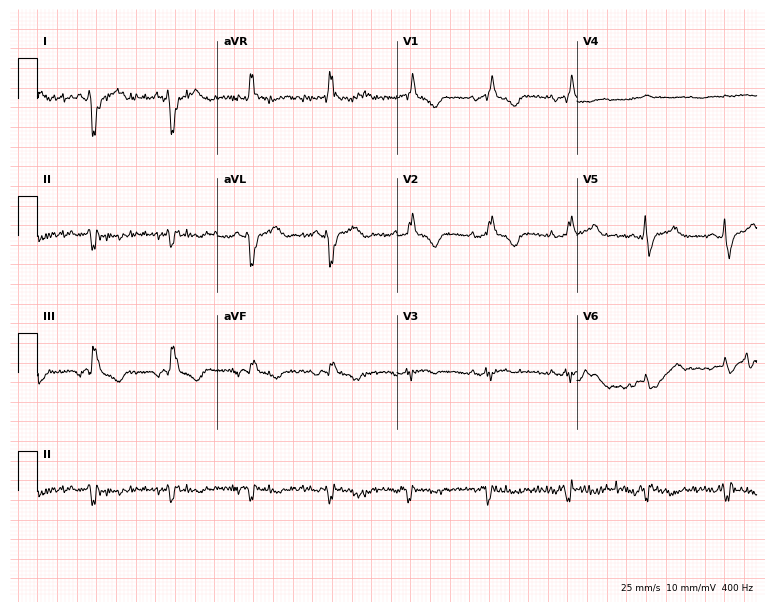
Electrocardiogram (7.3-second recording at 400 Hz), a male, 47 years old. Of the six screened findings (first-degree AV block, right bundle branch block, left bundle branch block, sinus bradycardia, atrial fibrillation, sinus tachycardia), none is recorded. Findings outside these six are not listed.